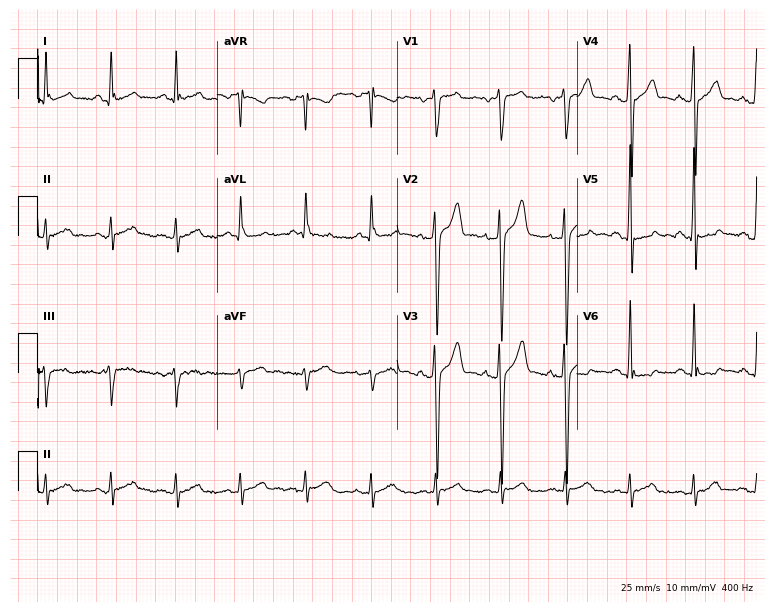
Standard 12-lead ECG recorded from a man, 44 years old. None of these six findings is recorded: first-degree AV block, right bundle branch block (RBBB), left bundle branch block (LBBB), sinus bradycardia, atrial fibrillation (AF), sinus tachycardia. Only these six findings were labelled.